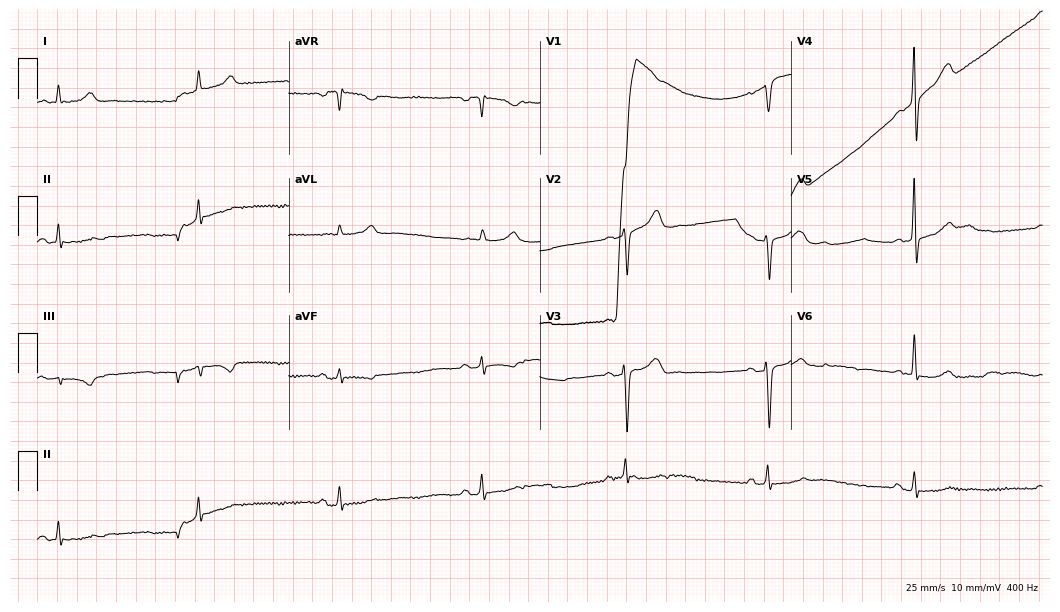
12-lead ECG from a 59-year-old male. No first-degree AV block, right bundle branch block (RBBB), left bundle branch block (LBBB), sinus bradycardia, atrial fibrillation (AF) or sinus tachycardia recorded for this tracing. Findings outside these six are not listed.